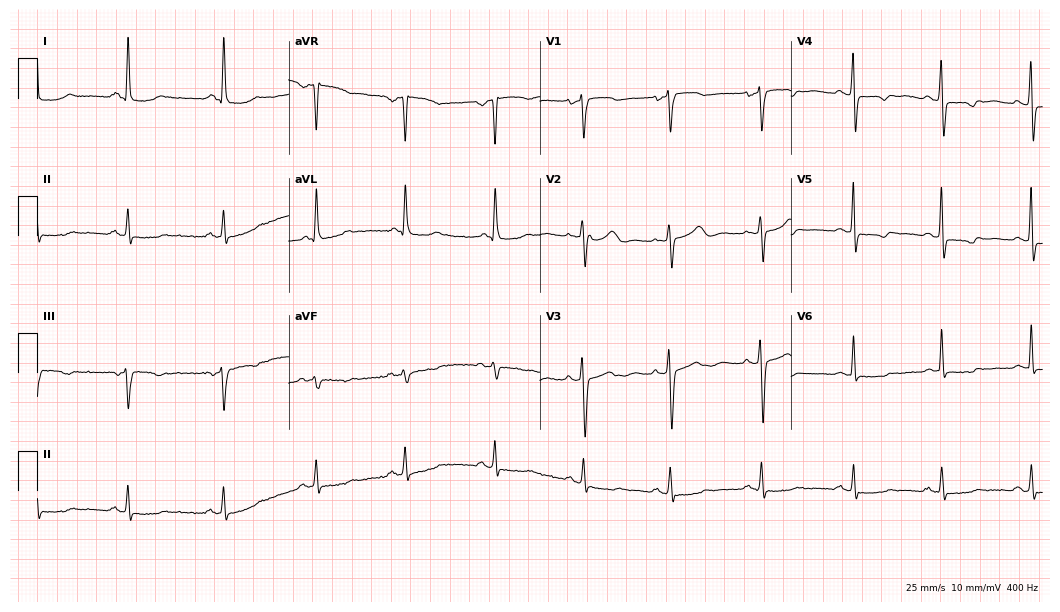
Standard 12-lead ECG recorded from a female, 50 years old. None of these six findings is recorded: first-degree AV block, right bundle branch block (RBBB), left bundle branch block (LBBB), sinus bradycardia, atrial fibrillation (AF), sinus tachycardia. Findings outside these six are not listed.